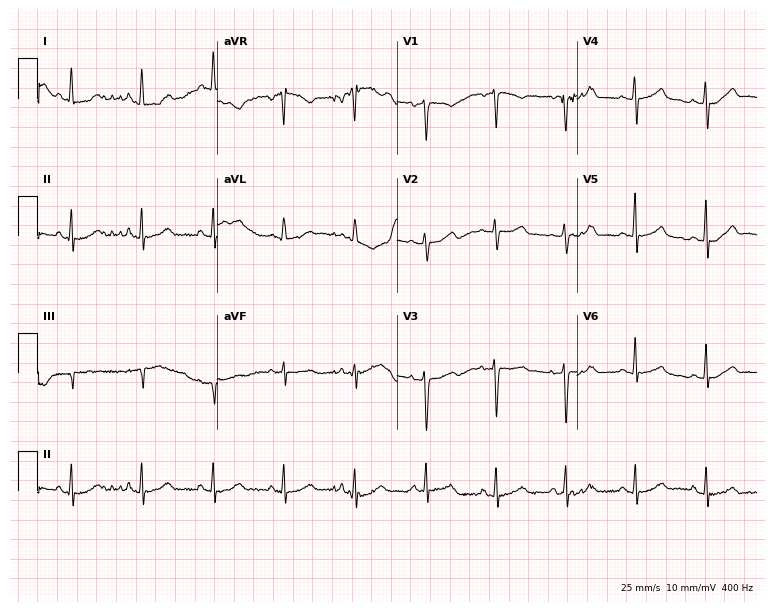
12-lead ECG (7.3-second recording at 400 Hz) from a woman, 44 years old. Labelled as a normal ECG.